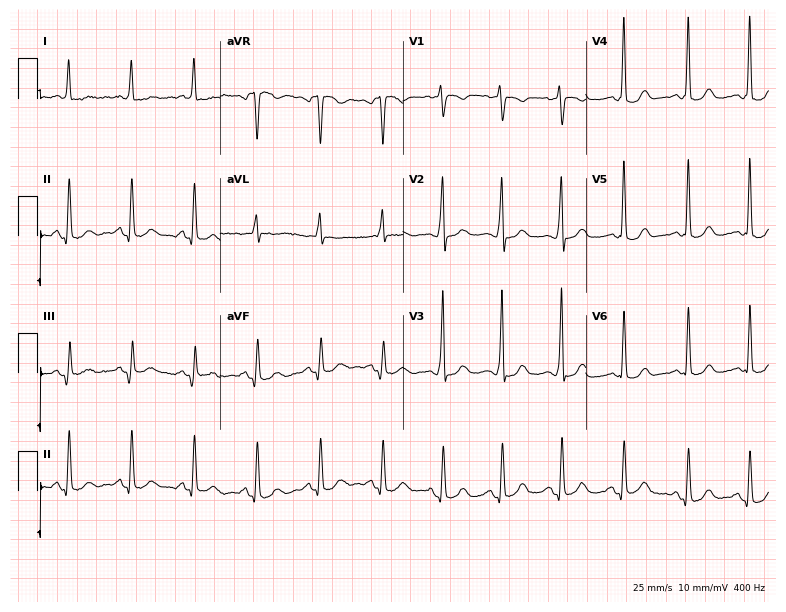
12-lead ECG (7.5-second recording at 400 Hz) from a female, 38 years old. Screened for six findings — first-degree AV block, right bundle branch block, left bundle branch block, sinus bradycardia, atrial fibrillation, sinus tachycardia — none is recorded.